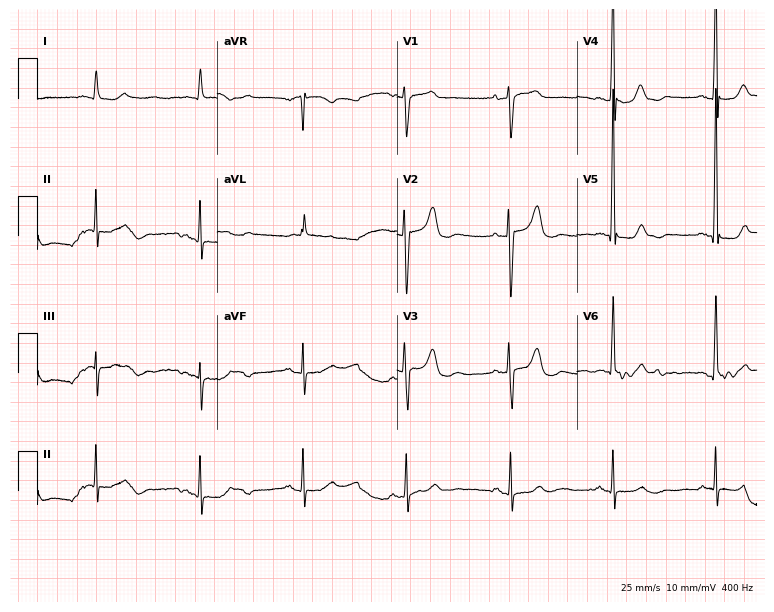
12-lead ECG (7.3-second recording at 400 Hz) from a female, 75 years old. Labelled as a normal ECG.